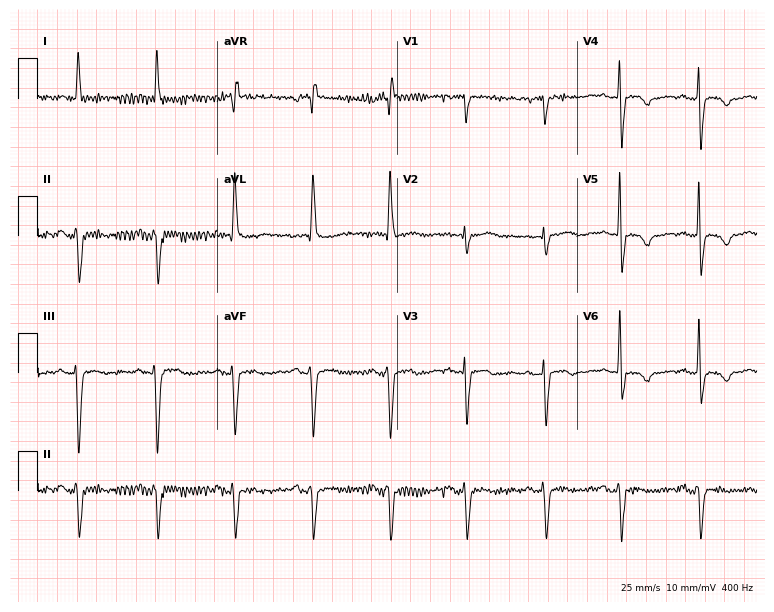
12-lead ECG (7.3-second recording at 400 Hz) from an 85-year-old female patient. Screened for six findings — first-degree AV block, right bundle branch block, left bundle branch block, sinus bradycardia, atrial fibrillation, sinus tachycardia — none is recorded.